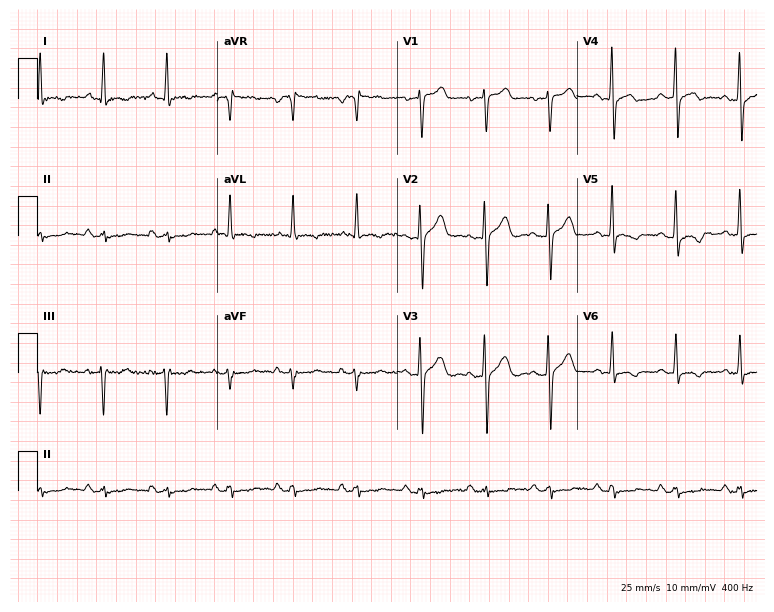
Standard 12-lead ECG recorded from a male patient, 51 years old (7.3-second recording at 400 Hz). None of these six findings is recorded: first-degree AV block, right bundle branch block, left bundle branch block, sinus bradycardia, atrial fibrillation, sinus tachycardia.